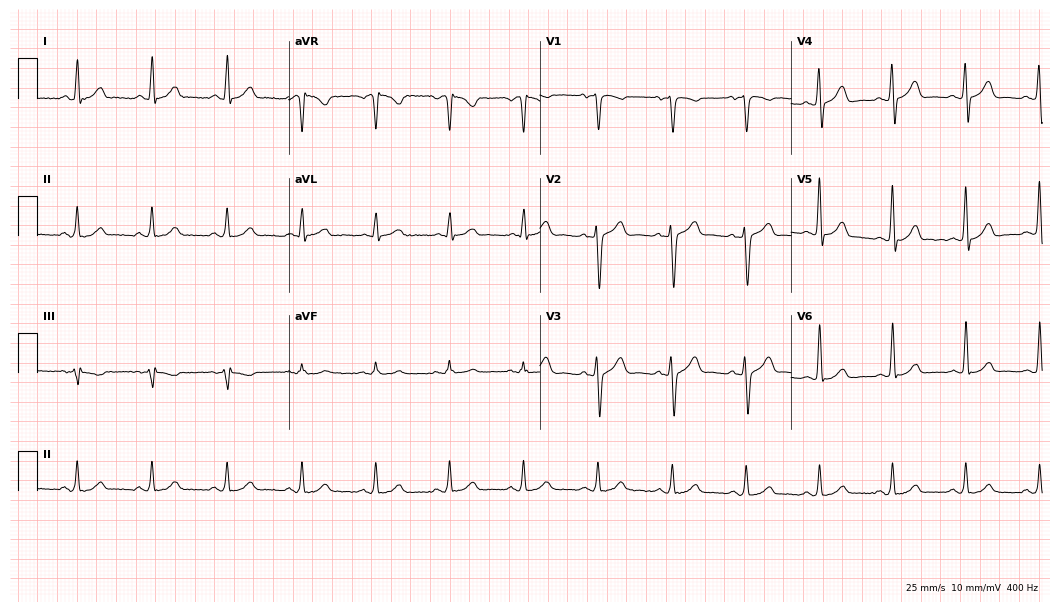
12-lead ECG from a man, 44 years old (10.2-second recording at 400 Hz). Recorded interpretation: within normal limits.